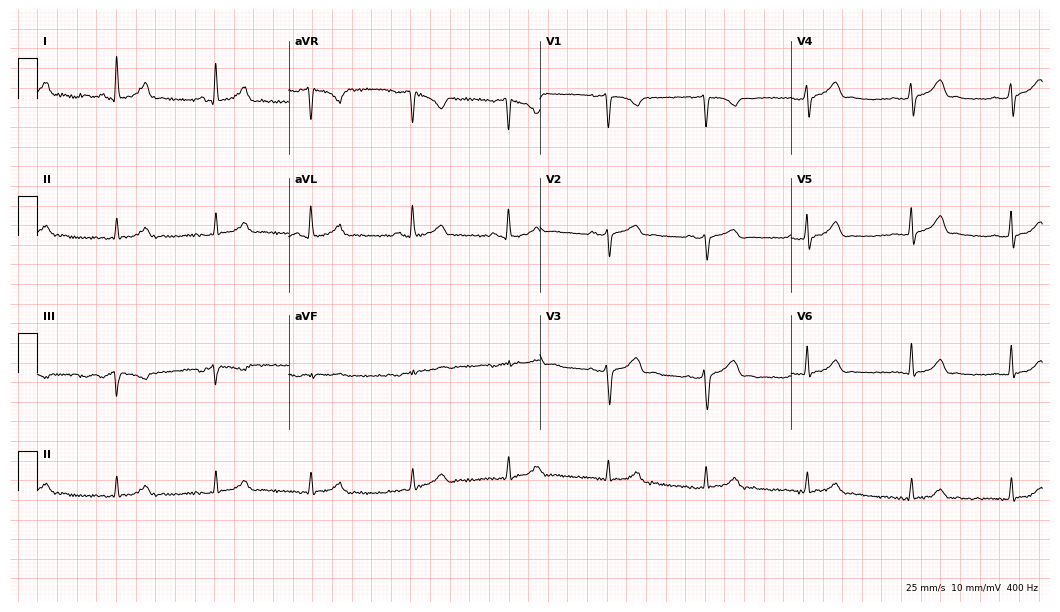
ECG — a man, 57 years old. Labelled as a normal ECG.